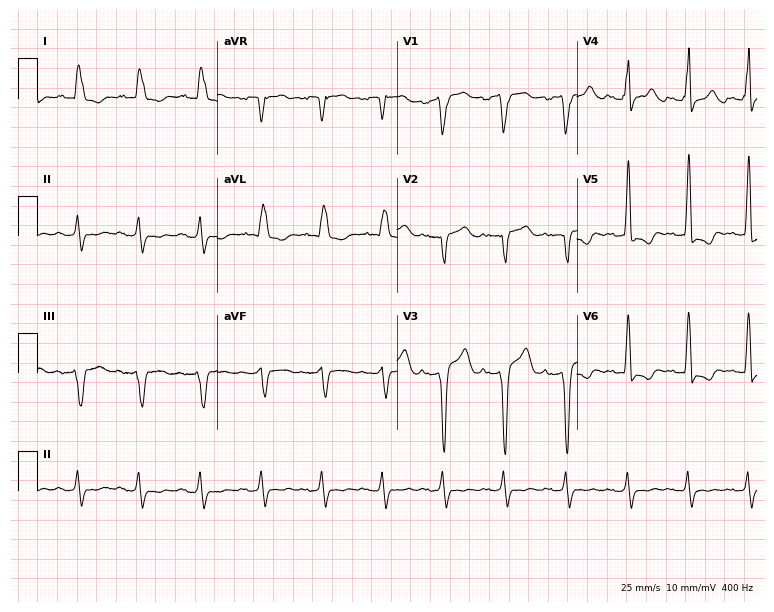
ECG — a 74-year-old male patient. Findings include left bundle branch block.